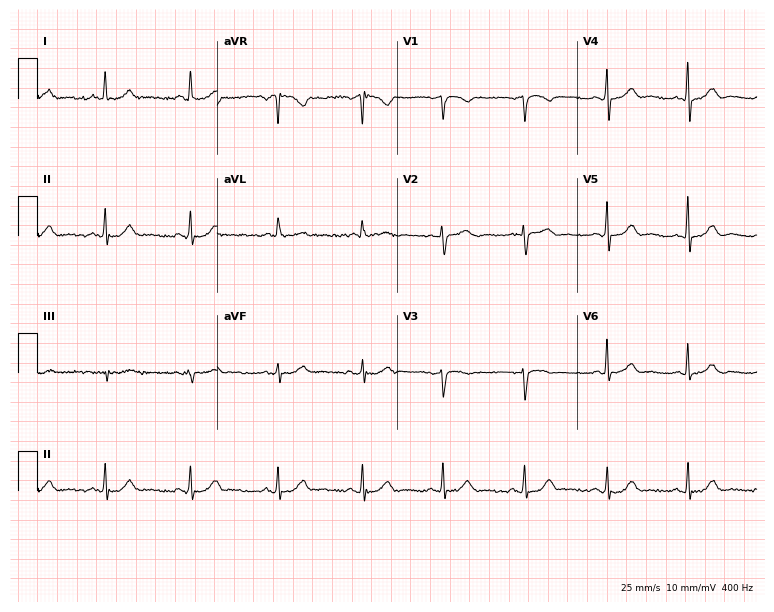
12-lead ECG from a female patient, 63 years old (7.3-second recording at 400 Hz). Recorded interpretation: within normal limits.